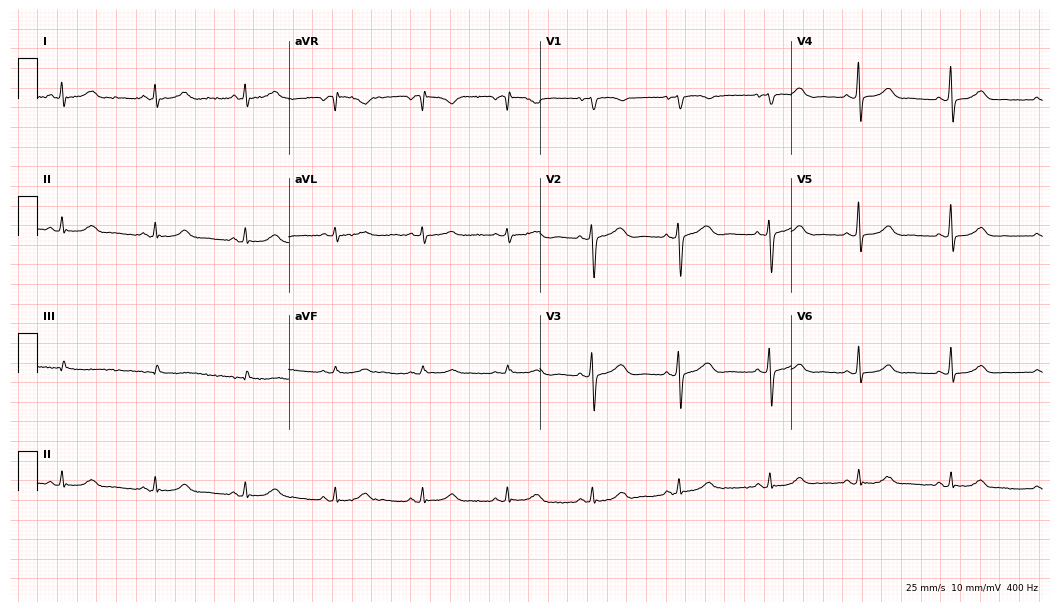
Standard 12-lead ECG recorded from a 61-year-old female patient (10.2-second recording at 400 Hz). Read as a normal ECG.